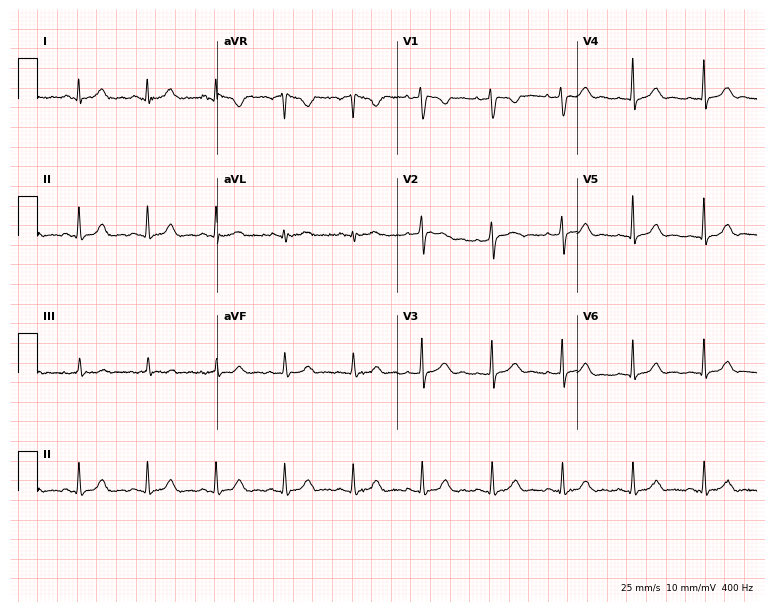
Electrocardiogram, a female, 31 years old. Of the six screened findings (first-degree AV block, right bundle branch block (RBBB), left bundle branch block (LBBB), sinus bradycardia, atrial fibrillation (AF), sinus tachycardia), none is recorded.